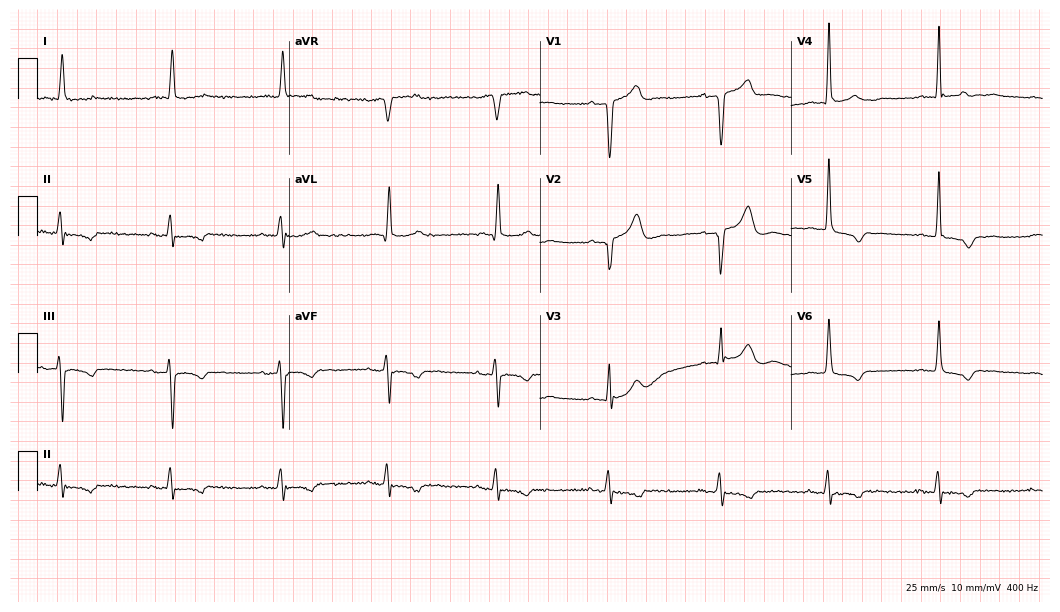
Electrocardiogram (10.2-second recording at 400 Hz), a male, 76 years old. Of the six screened findings (first-degree AV block, right bundle branch block, left bundle branch block, sinus bradycardia, atrial fibrillation, sinus tachycardia), none is recorded.